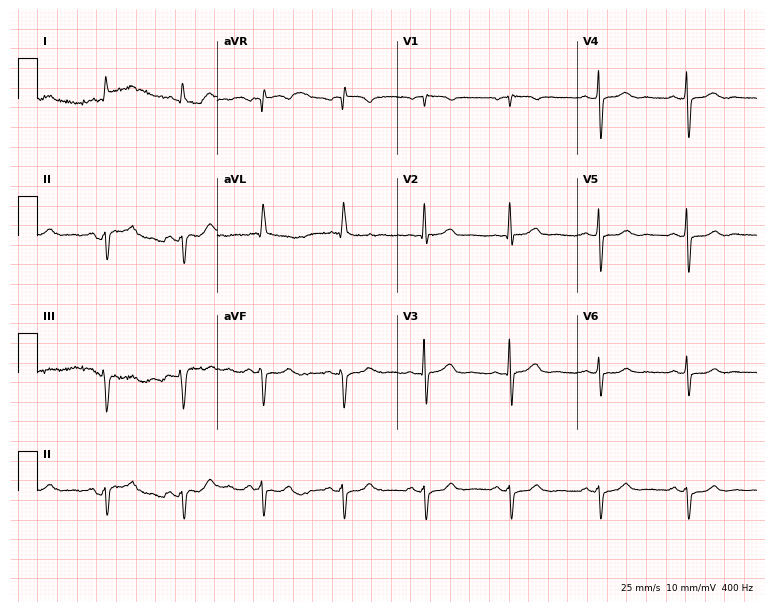
Electrocardiogram, an 83-year-old woman. Of the six screened findings (first-degree AV block, right bundle branch block, left bundle branch block, sinus bradycardia, atrial fibrillation, sinus tachycardia), none is recorded.